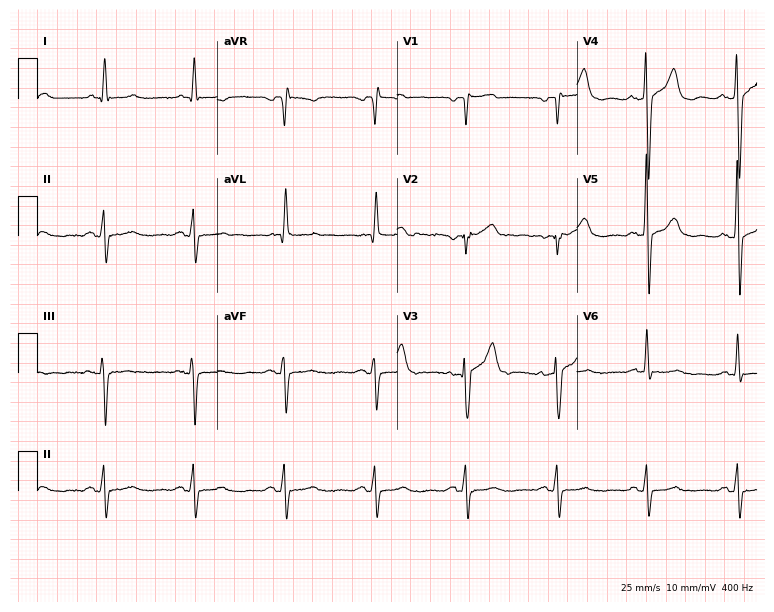
ECG — a male, 68 years old. Screened for six findings — first-degree AV block, right bundle branch block, left bundle branch block, sinus bradycardia, atrial fibrillation, sinus tachycardia — none is recorded. Findings outside these six are not listed.